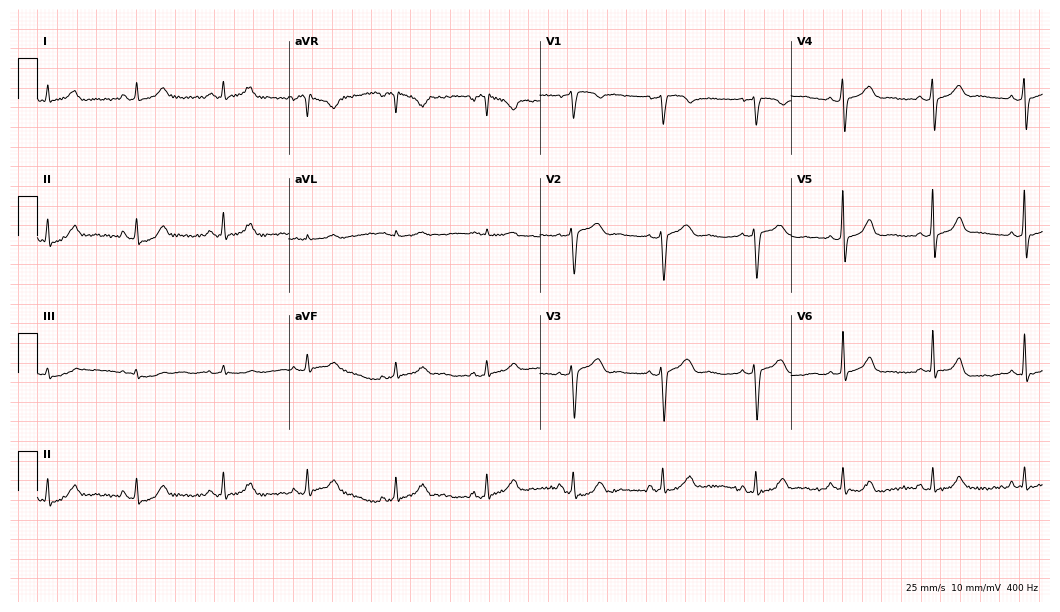
Resting 12-lead electrocardiogram (10.2-second recording at 400 Hz). Patient: a 37-year-old female. Read as a normal ECG.